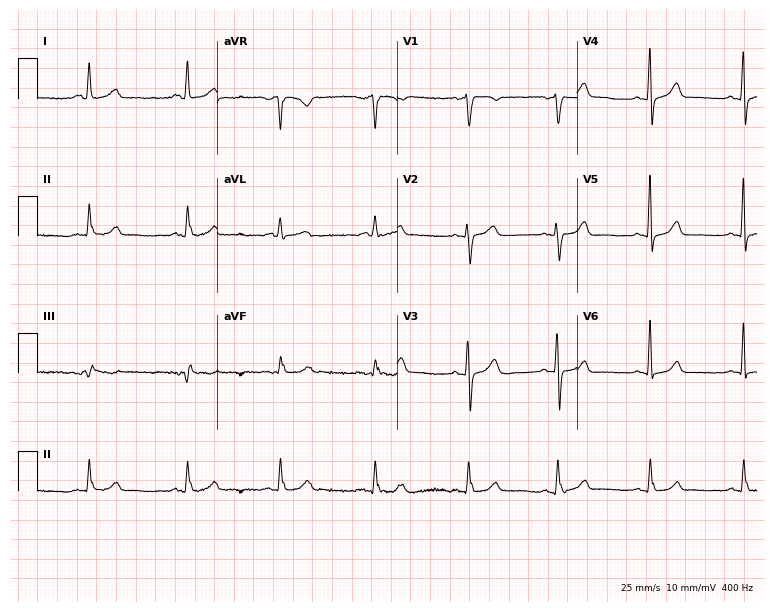
12-lead ECG from a female, 62 years old. No first-degree AV block, right bundle branch block, left bundle branch block, sinus bradycardia, atrial fibrillation or sinus tachycardia recorded for this tracing. Other findings, if any, are not listed.